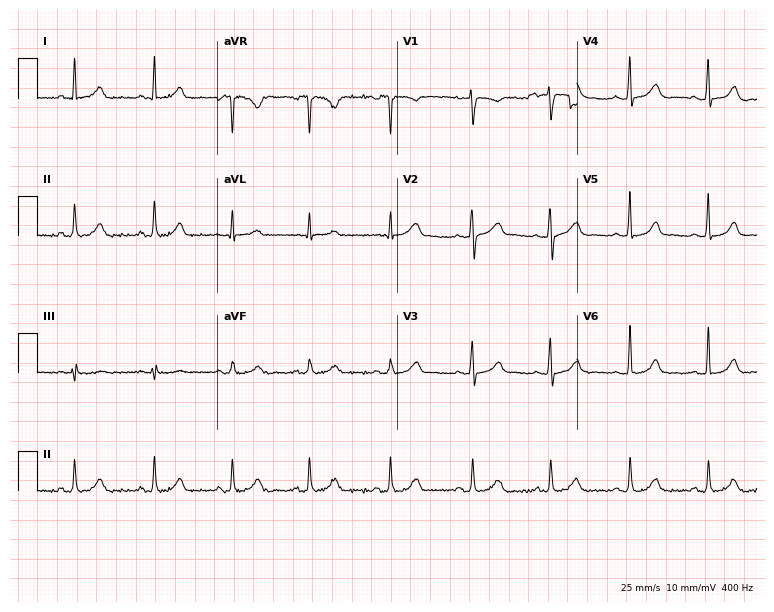
12-lead ECG (7.3-second recording at 400 Hz) from a 34-year-old woman. Labelled as a normal ECG.